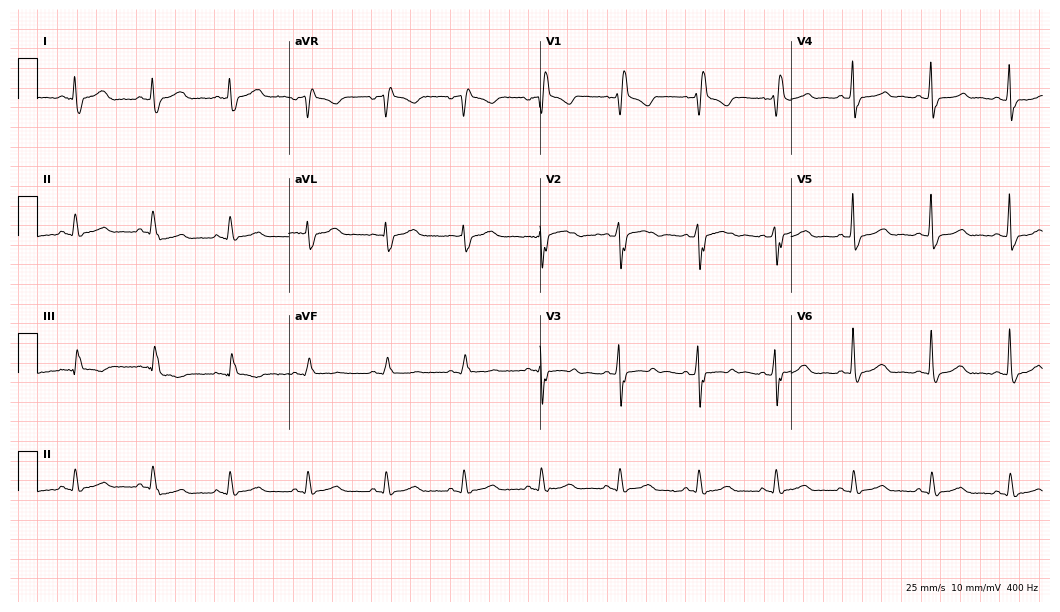
12-lead ECG from a 71-year-old man. Findings include right bundle branch block.